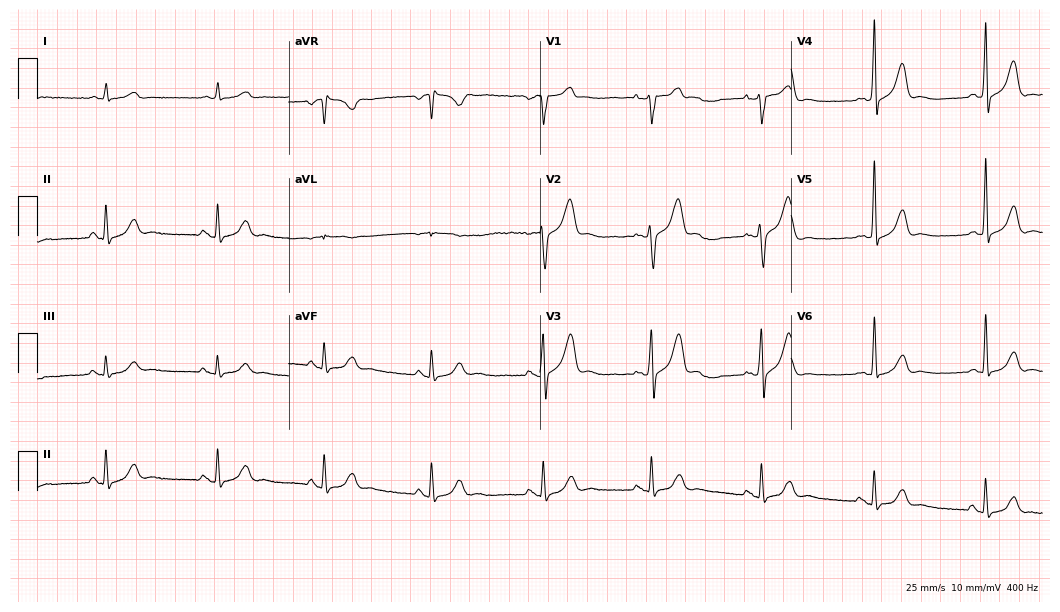
12-lead ECG from a 64-year-old man. Recorded interpretation: within normal limits.